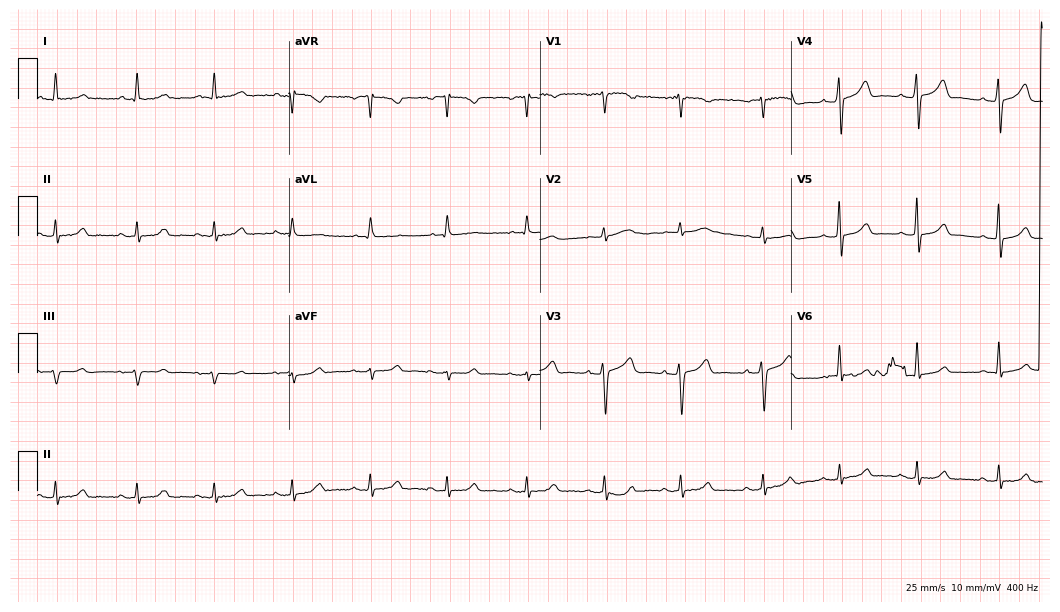
Resting 12-lead electrocardiogram (10.2-second recording at 400 Hz). Patient: an 84-year-old woman. Read as a normal ECG.